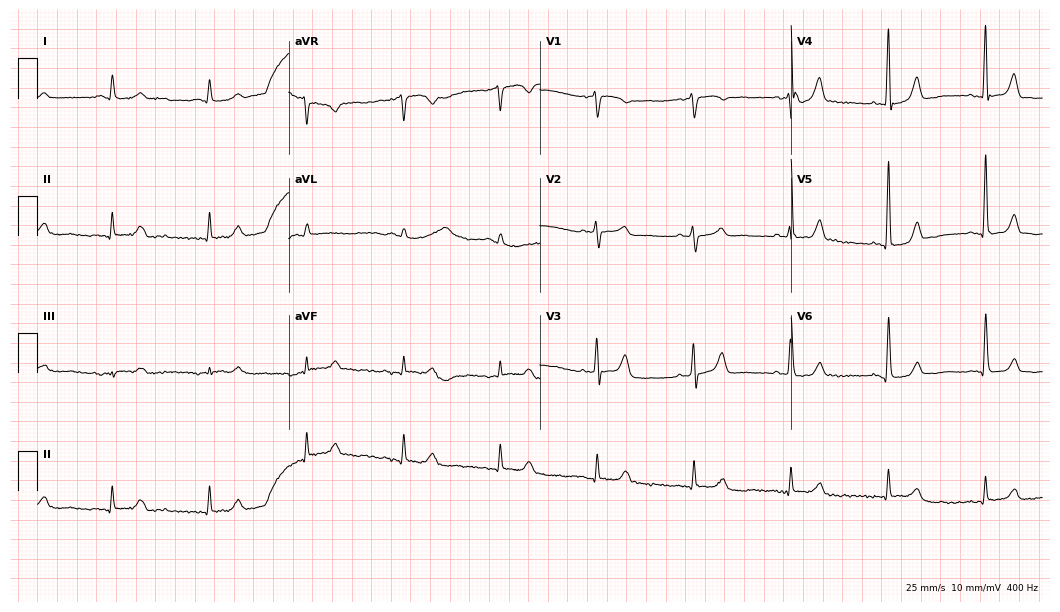
Electrocardiogram (10.2-second recording at 400 Hz), an 84-year-old male. Overall reading on record: normal ECG.